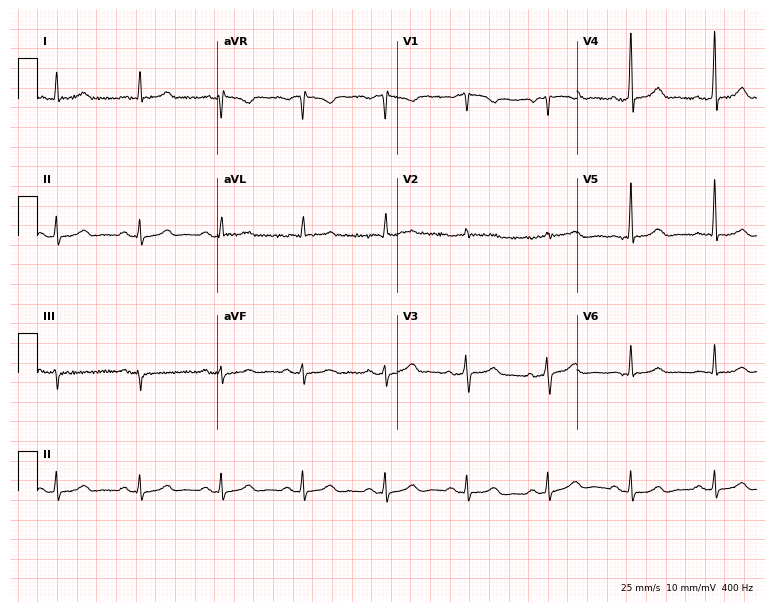
Electrocardiogram, a male patient, 66 years old. Overall reading on record: normal ECG.